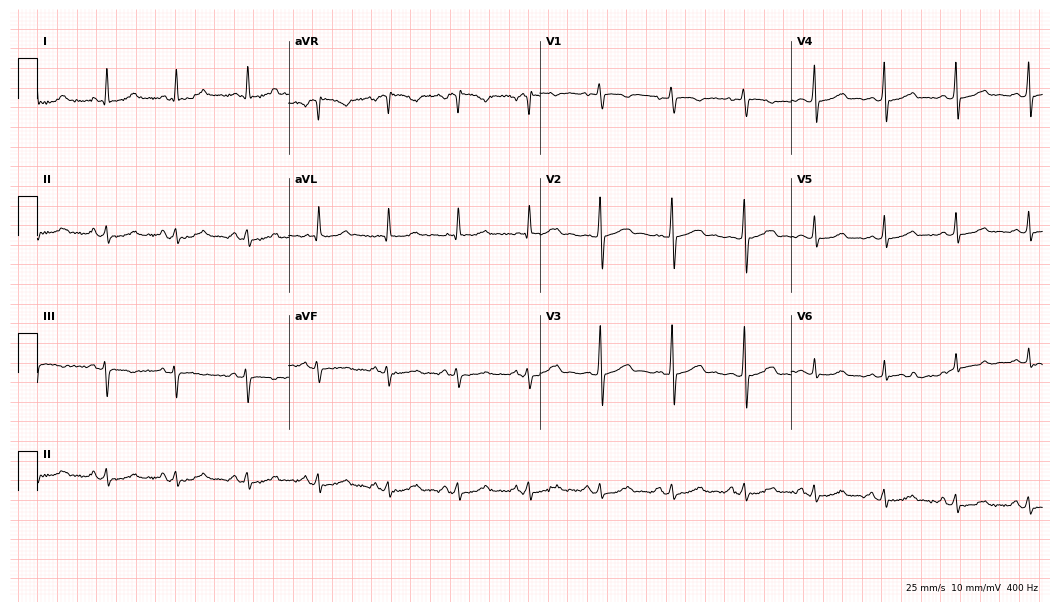
12-lead ECG (10.2-second recording at 400 Hz) from a woman, 49 years old. Labelled as a normal ECG.